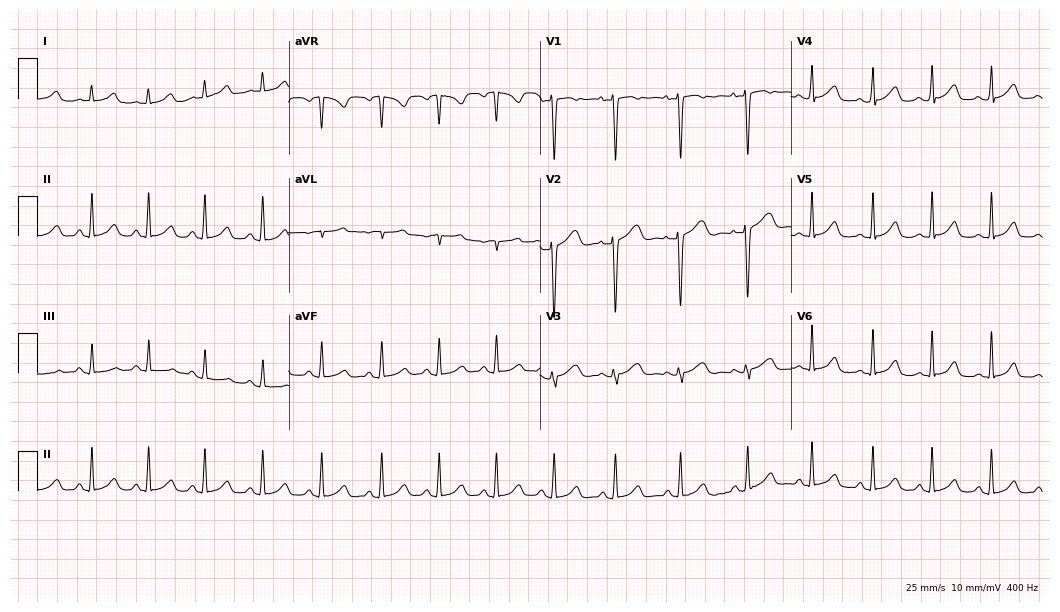
Resting 12-lead electrocardiogram. Patient: a female, 28 years old. Read as a normal ECG.